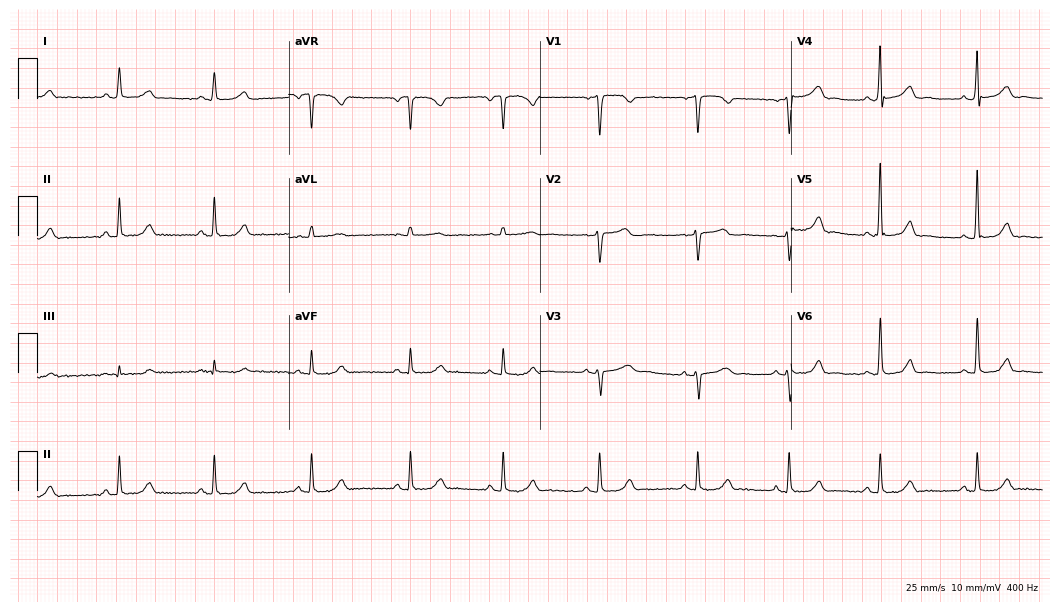
Resting 12-lead electrocardiogram. Patient: a 28-year-old female. Read as a normal ECG.